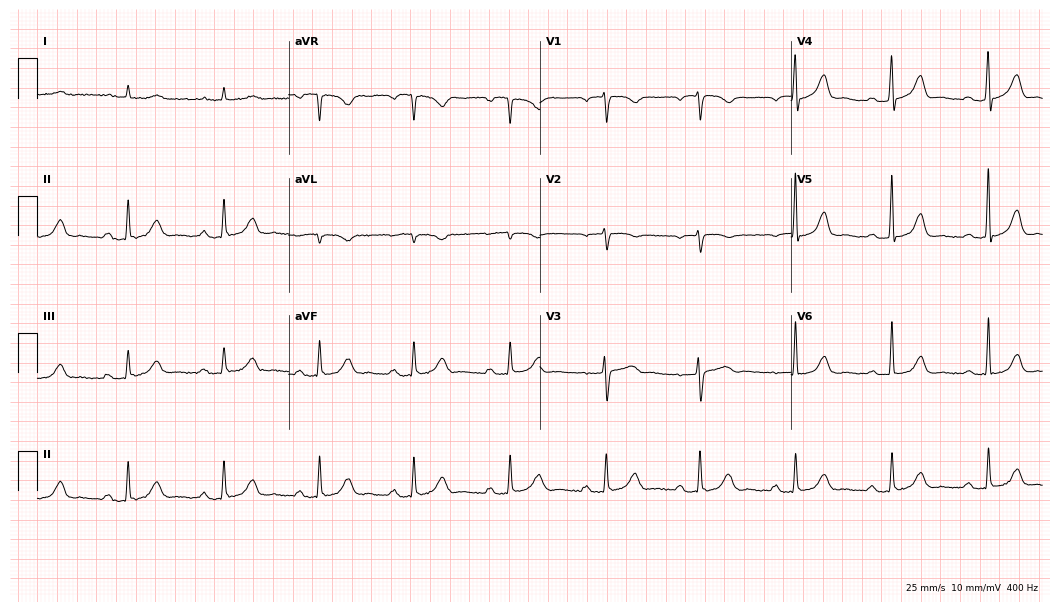
ECG — a female patient, 85 years old. Findings include first-degree AV block.